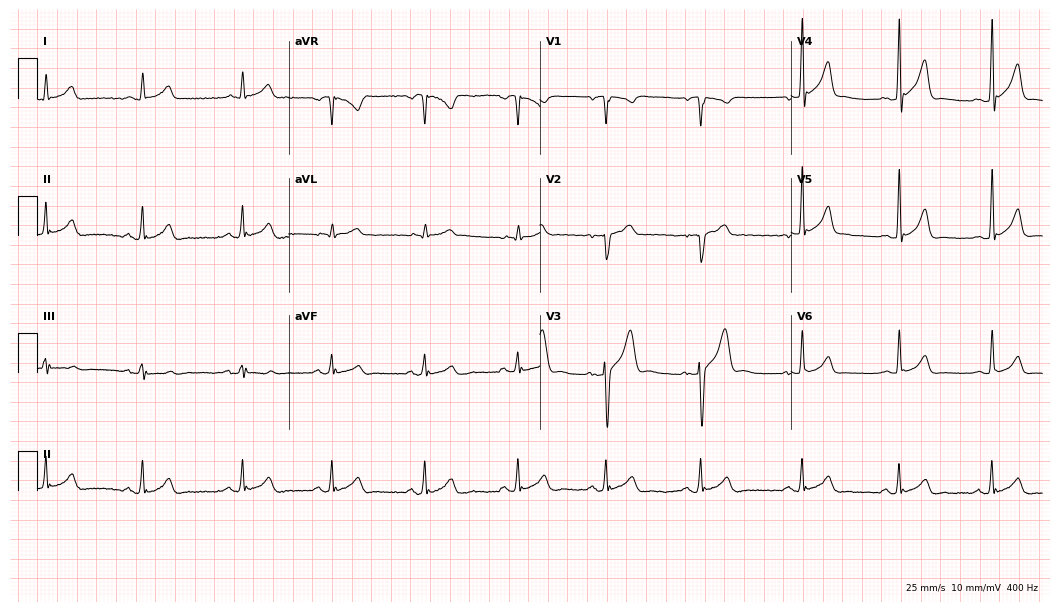
Electrocardiogram, a 26-year-old male. Of the six screened findings (first-degree AV block, right bundle branch block, left bundle branch block, sinus bradycardia, atrial fibrillation, sinus tachycardia), none is recorded.